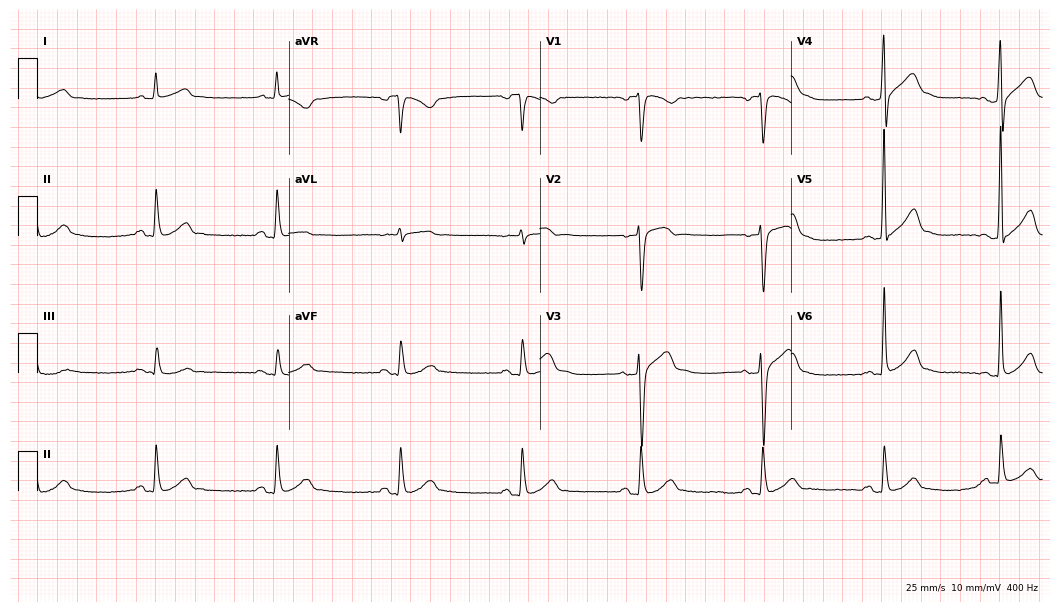
12-lead ECG from a 50-year-old male patient. Screened for six findings — first-degree AV block, right bundle branch block (RBBB), left bundle branch block (LBBB), sinus bradycardia, atrial fibrillation (AF), sinus tachycardia — none is recorded. Other findings, if any, are not listed.